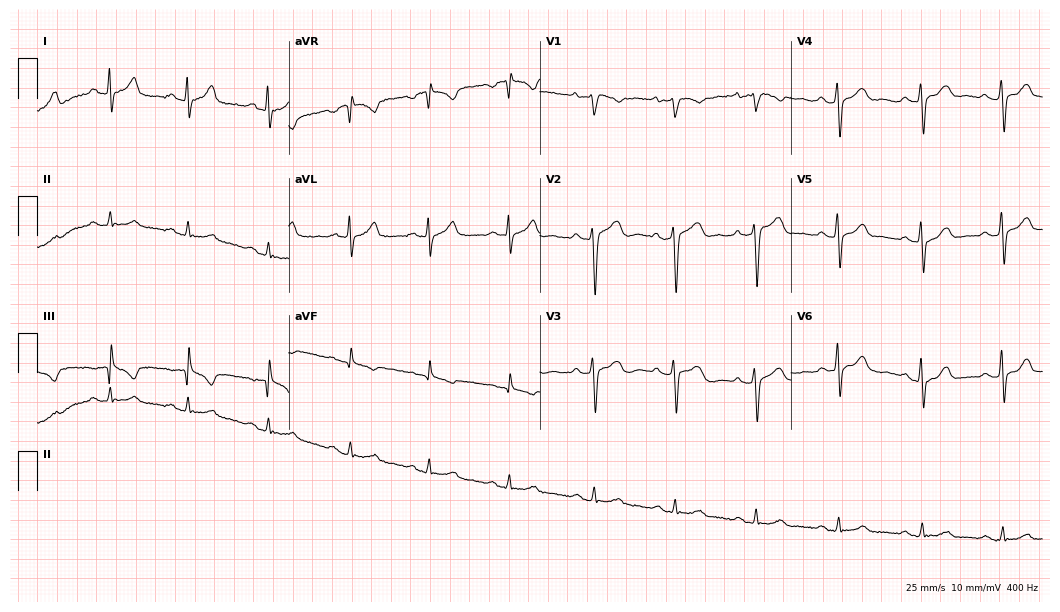
12-lead ECG from a 49-year-old male patient. Recorded interpretation: within normal limits.